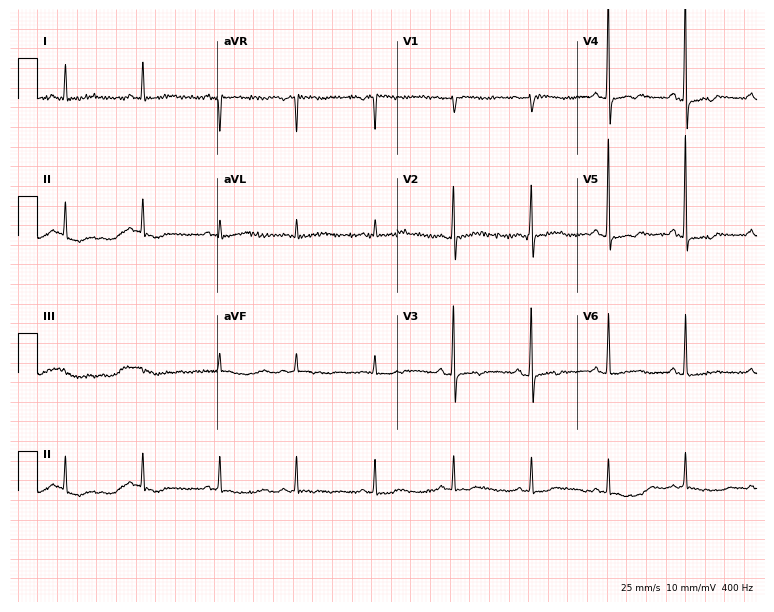
12-lead ECG from a 77-year-old female (7.3-second recording at 400 Hz). No first-degree AV block, right bundle branch block, left bundle branch block, sinus bradycardia, atrial fibrillation or sinus tachycardia recorded for this tracing.